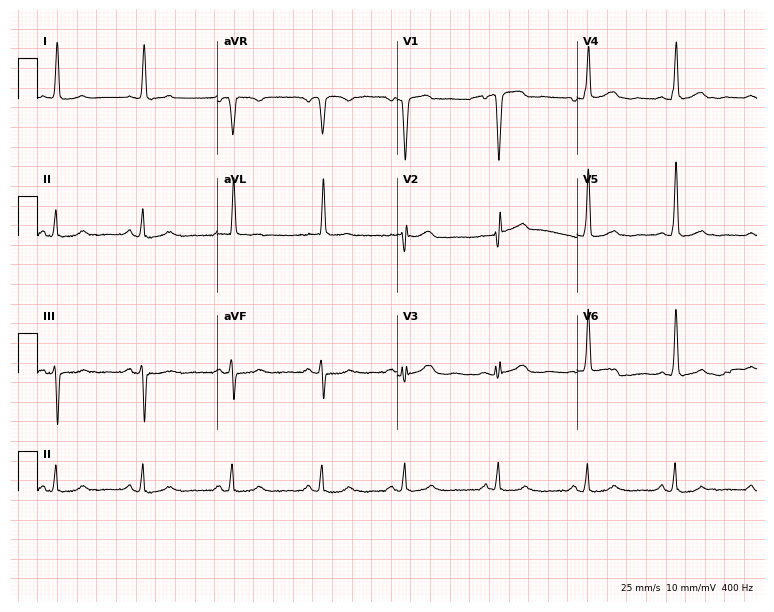
Standard 12-lead ECG recorded from a female, 80 years old. None of these six findings is recorded: first-degree AV block, right bundle branch block, left bundle branch block, sinus bradycardia, atrial fibrillation, sinus tachycardia.